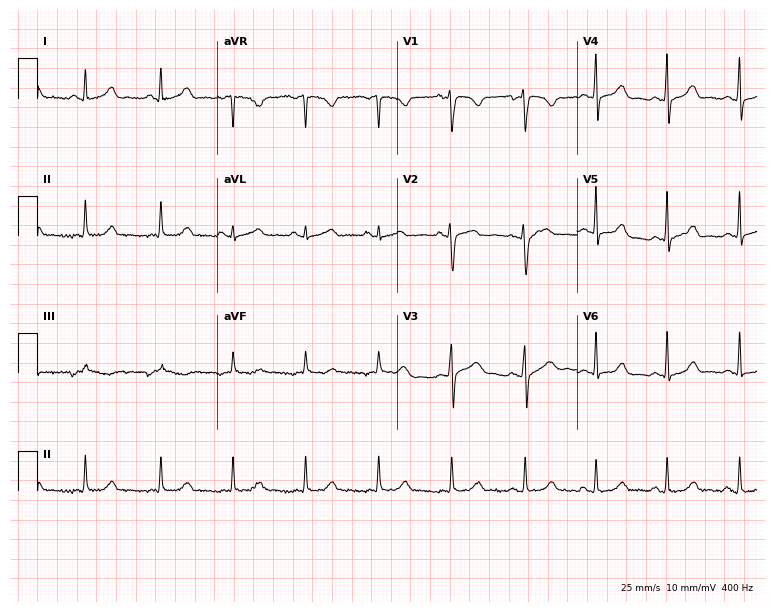
12-lead ECG (7.3-second recording at 400 Hz) from a female patient, 27 years old. Labelled as a normal ECG.